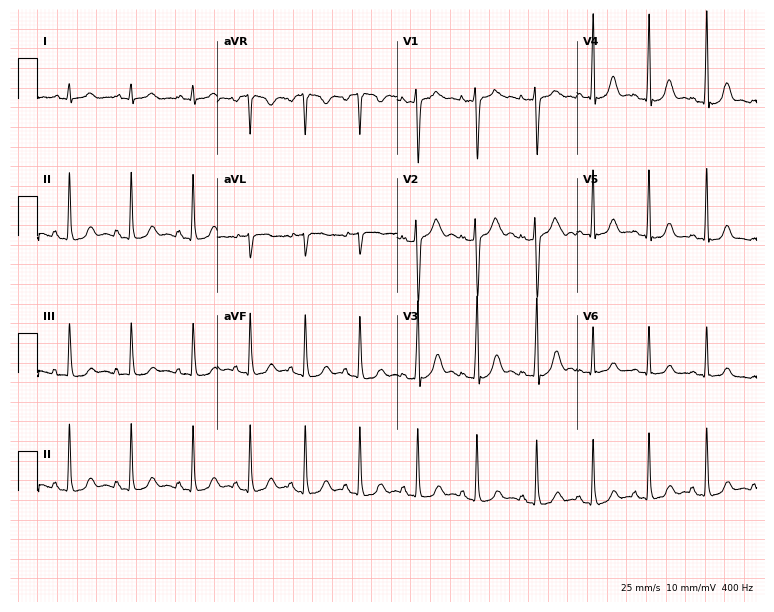
12-lead ECG from a 17-year-old male. Findings include sinus tachycardia (a sinus rate of 100 beats per minute or more).